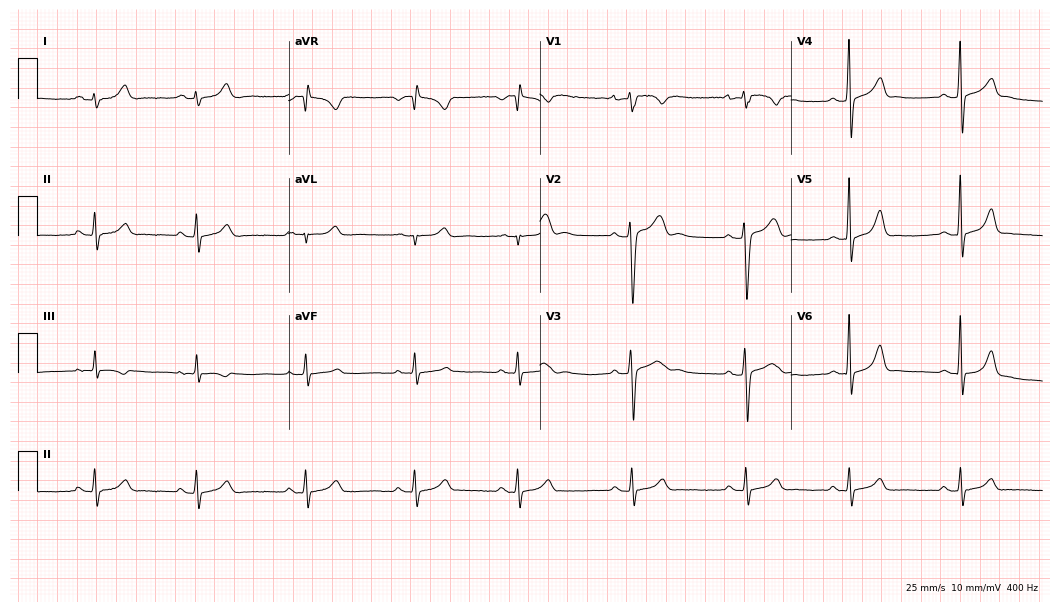
12-lead ECG from a male, 18 years old (10.2-second recording at 400 Hz). Recorded interpretation: within normal limits.